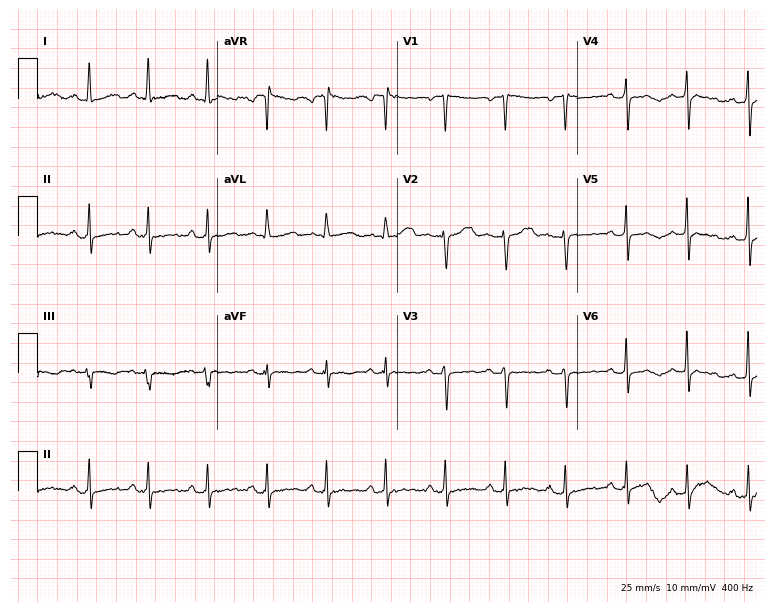
12-lead ECG from a 49-year-old woman. No first-degree AV block, right bundle branch block (RBBB), left bundle branch block (LBBB), sinus bradycardia, atrial fibrillation (AF) or sinus tachycardia recorded for this tracing.